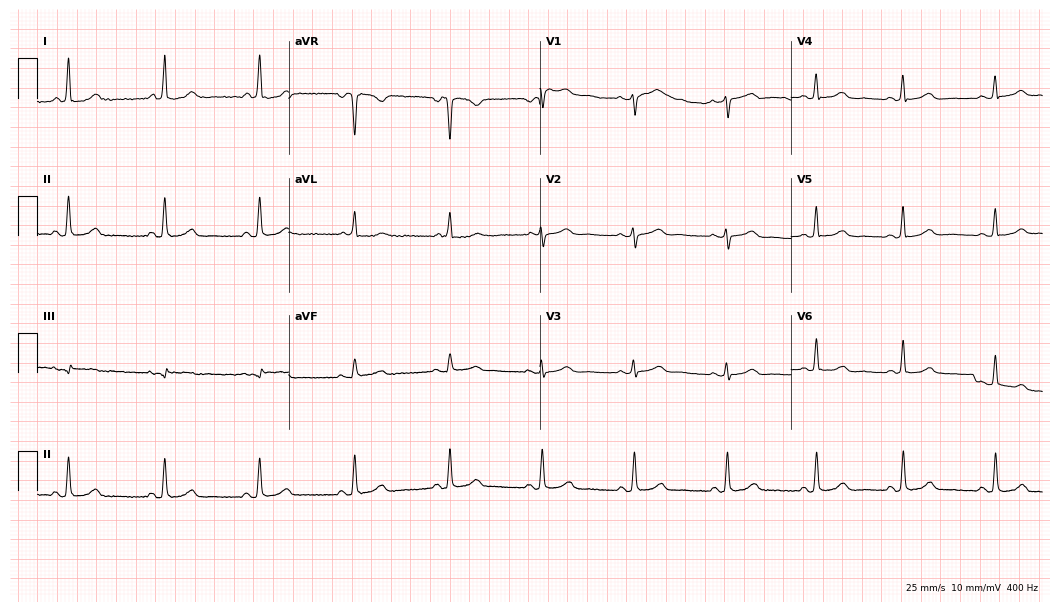
Resting 12-lead electrocardiogram. Patient: a 43-year-old woman. Read as a normal ECG.